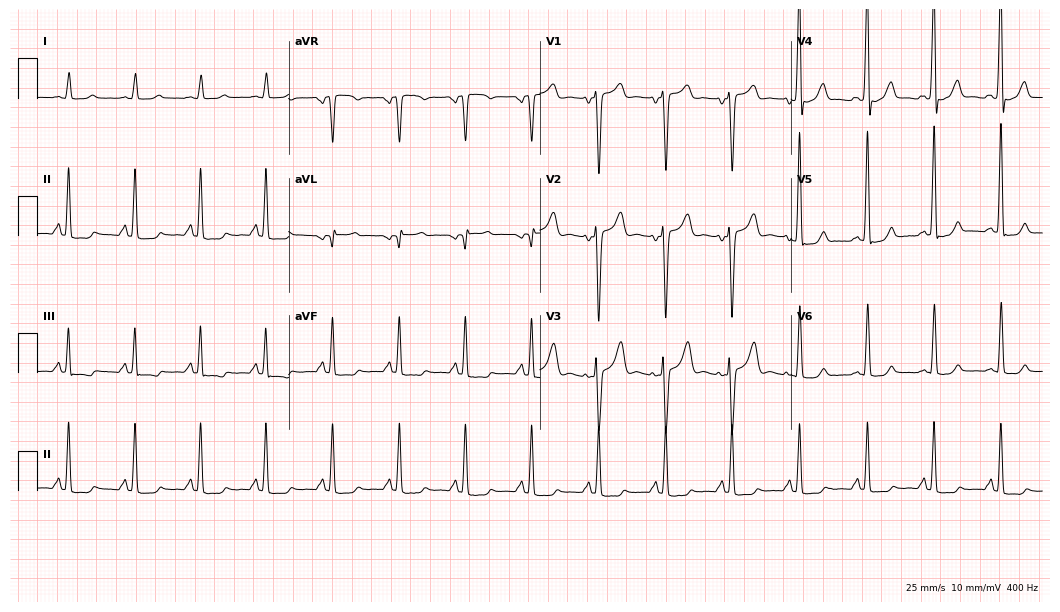
ECG — a 53-year-old man. Screened for six findings — first-degree AV block, right bundle branch block (RBBB), left bundle branch block (LBBB), sinus bradycardia, atrial fibrillation (AF), sinus tachycardia — none is recorded.